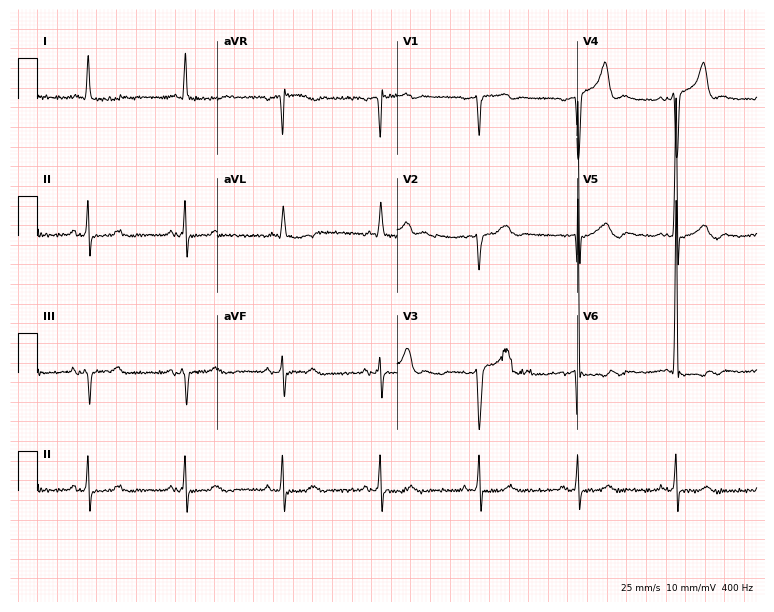
Standard 12-lead ECG recorded from an 81-year-old man (7.3-second recording at 400 Hz). None of these six findings is recorded: first-degree AV block, right bundle branch block (RBBB), left bundle branch block (LBBB), sinus bradycardia, atrial fibrillation (AF), sinus tachycardia. Findings outside these six are not listed.